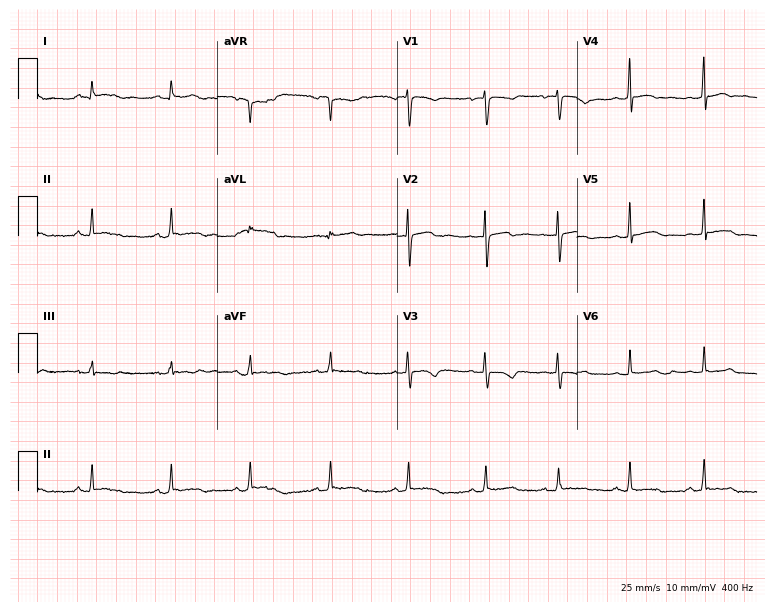
12-lead ECG from a 19-year-old woman. Recorded interpretation: within normal limits.